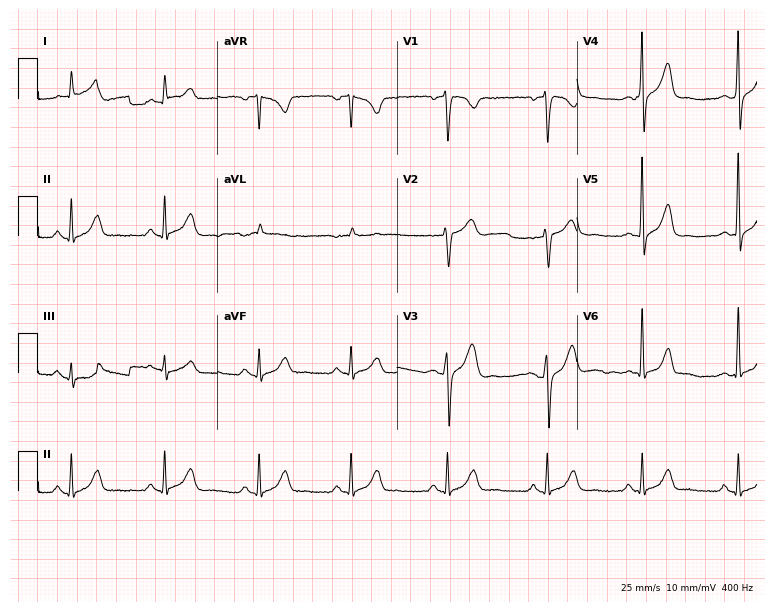
Resting 12-lead electrocardiogram (7.3-second recording at 400 Hz). Patient: a man, 39 years old. Read as a normal ECG.